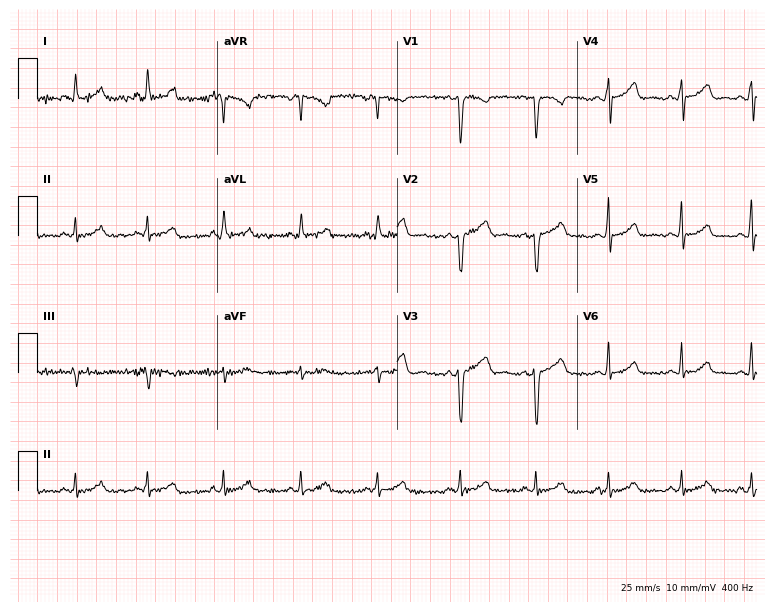
12-lead ECG from a 29-year-old female (7.3-second recording at 400 Hz). No first-degree AV block, right bundle branch block, left bundle branch block, sinus bradycardia, atrial fibrillation or sinus tachycardia recorded for this tracing. Findings outside these six are not listed.